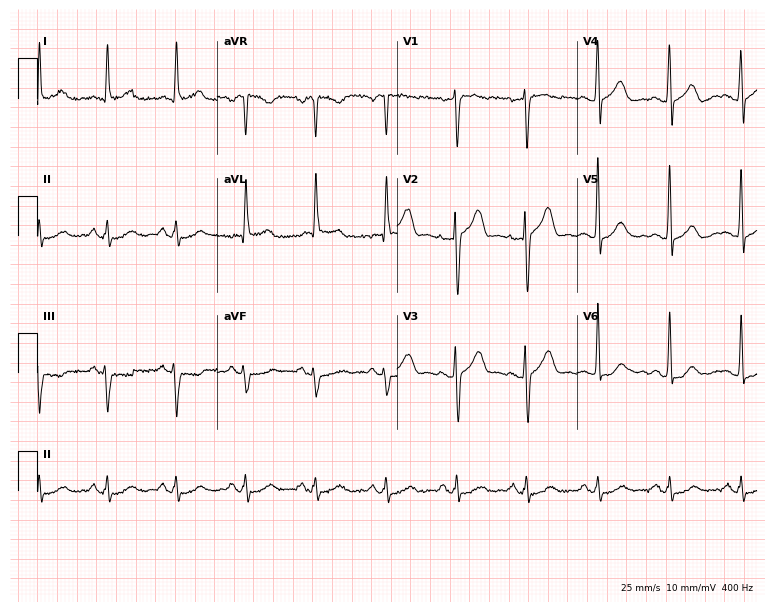
12-lead ECG from a 68-year-old male patient. Labelled as a normal ECG.